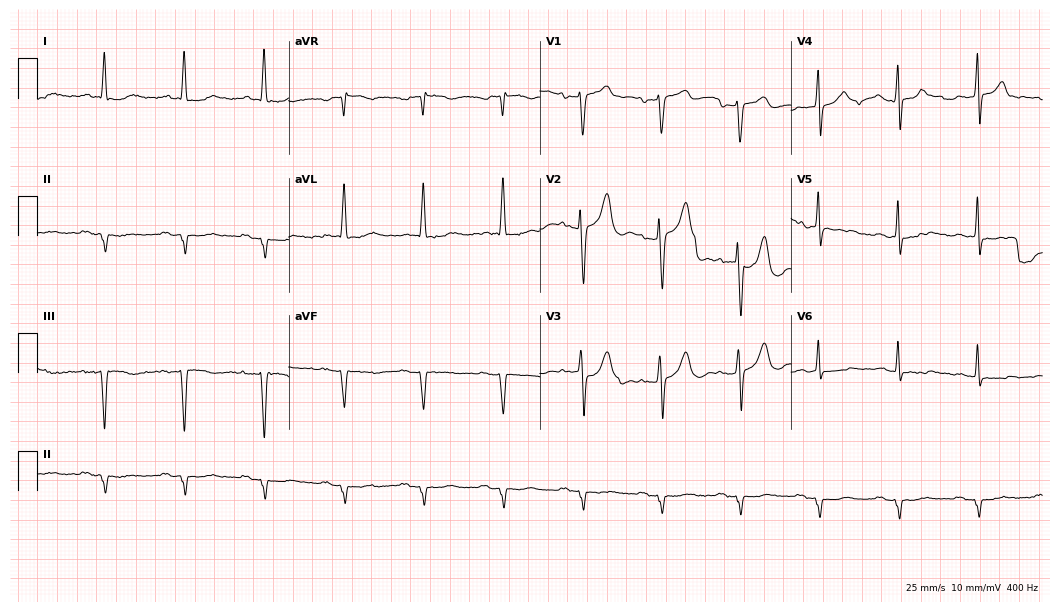
Resting 12-lead electrocardiogram (10.2-second recording at 400 Hz). Patient: a male, 79 years old. None of these six findings is recorded: first-degree AV block, right bundle branch block, left bundle branch block, sinus bradycardia, atrial fibrillation, sinus tachycardia.